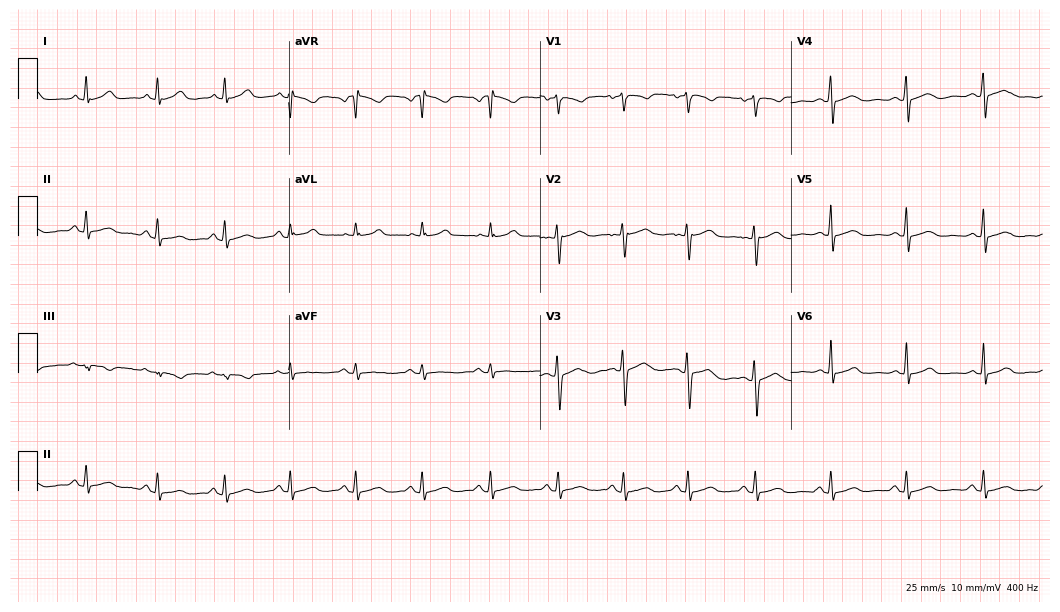
Electrocardiogram, a female, 30 years old. Overall reading on record: normal ECG.